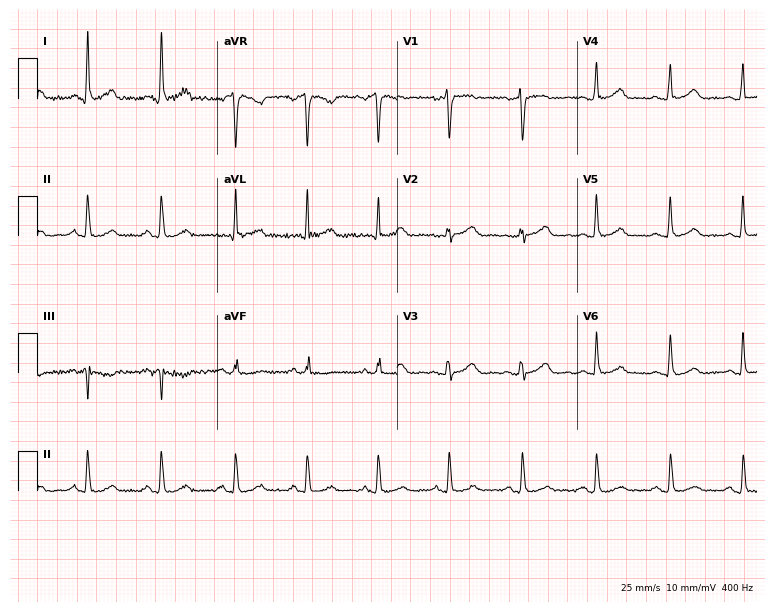
Standard 12-lead ECG recorded from a woman, 49 years old (7.3-second recording at 400 Hz). Read as a normal ECG.